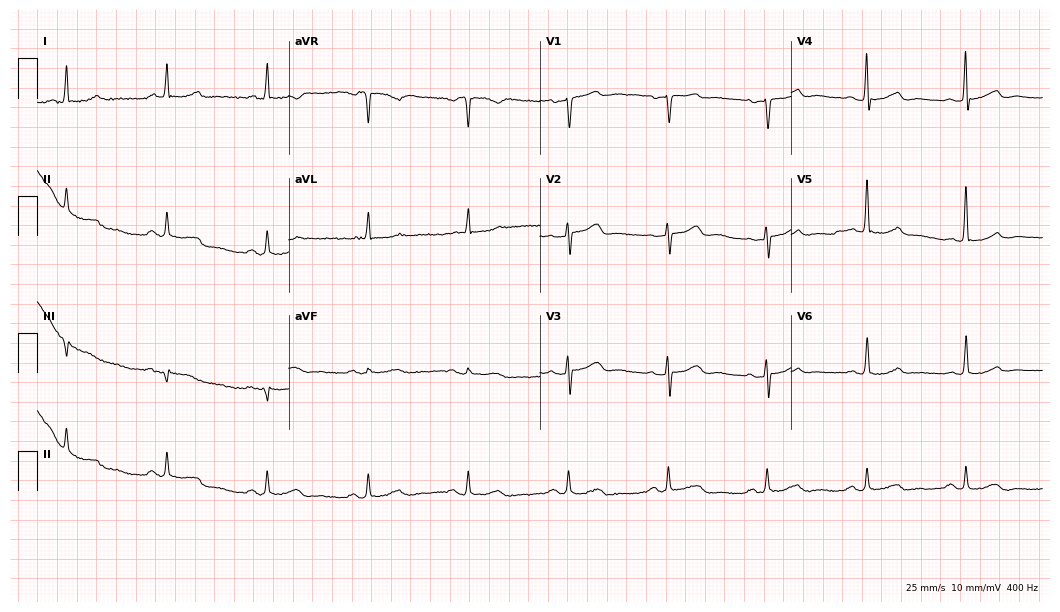
Standard 12-lead ECG recorded from a male, 84 years old. Read as a normal ECG.